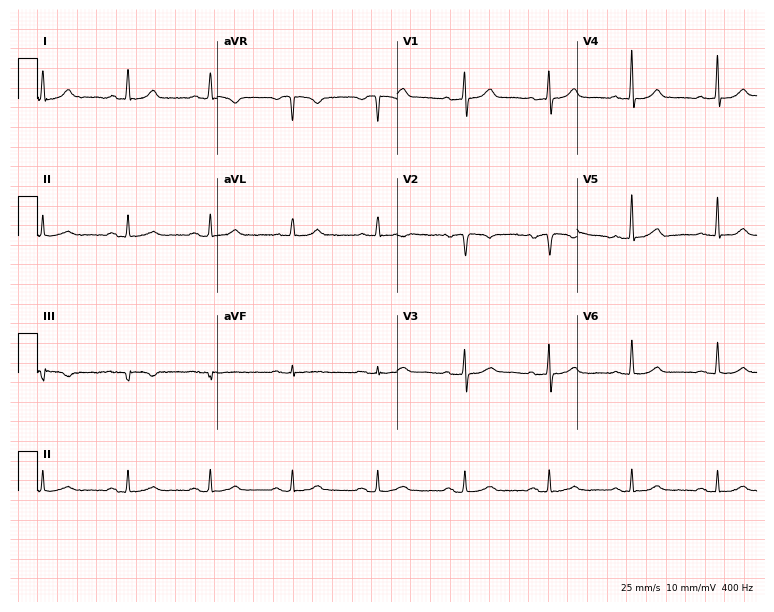
ECG (7.3-second recording at 400 Hz) — a 45-year-old female. Labelled as a normal ECG.